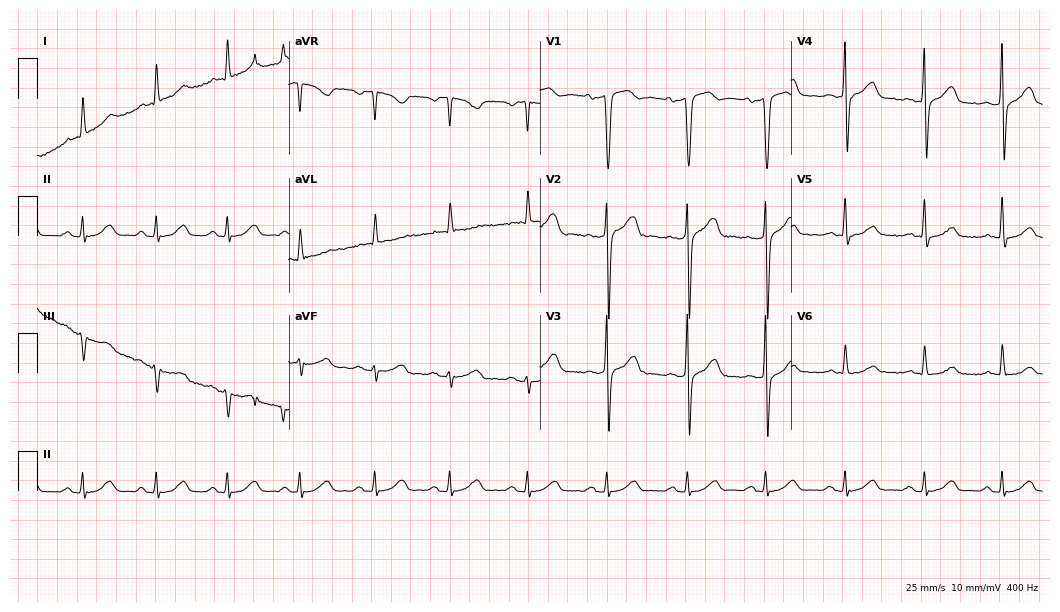
Standard 12-lead ECG recorded from a man, 48 years old. Read as a normal ECG.